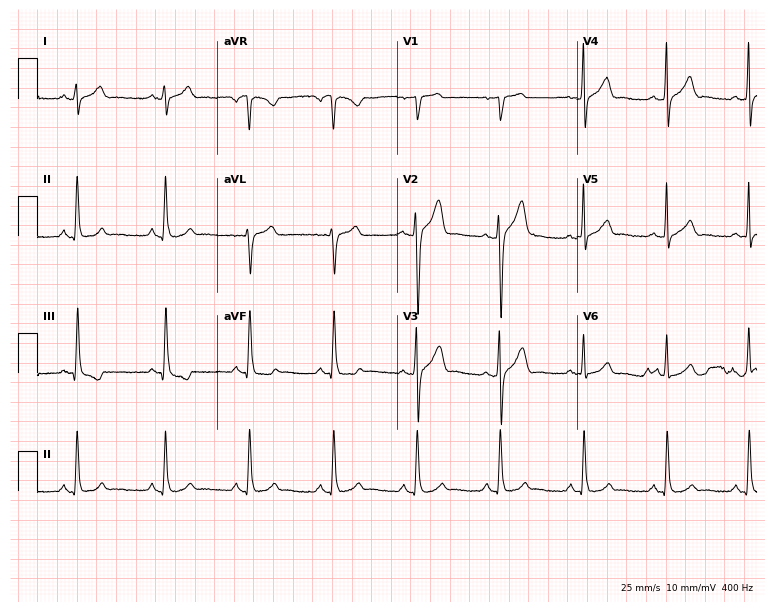
Resting 12-lead electrocardiogram. Patient: a 37-year-old male. None of these six findings is recorded: first-degree AV block, right bundle branch block, left bundle branch block, sinus bradycardia, atrial fibrillation, sinus tachycardia.